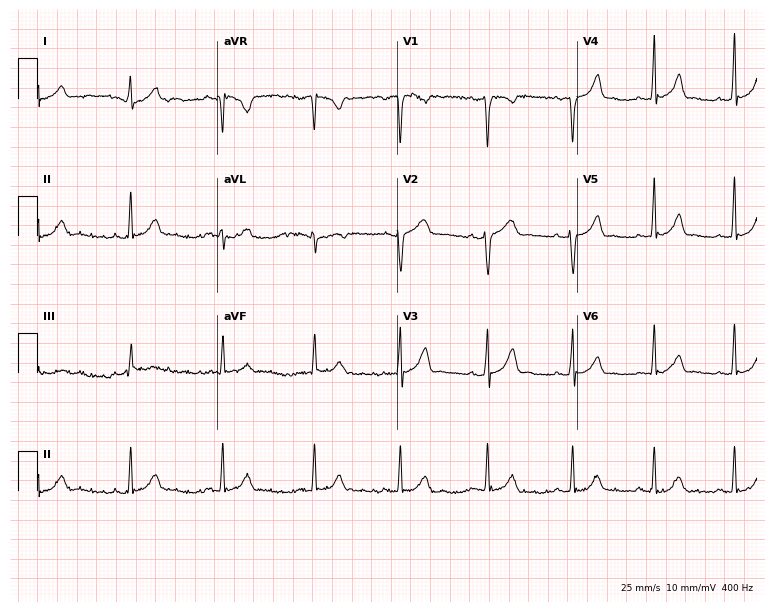
12-lead ECG from a 30-year-old male (7.3-second recording at 400 Hz). No first-degree AV block, right bundle branch block, left bundle branch block, sinus bradycardia, atrial fibrillation or sinus tachycardia recorded for this tracing. Only these six findings were labelled.